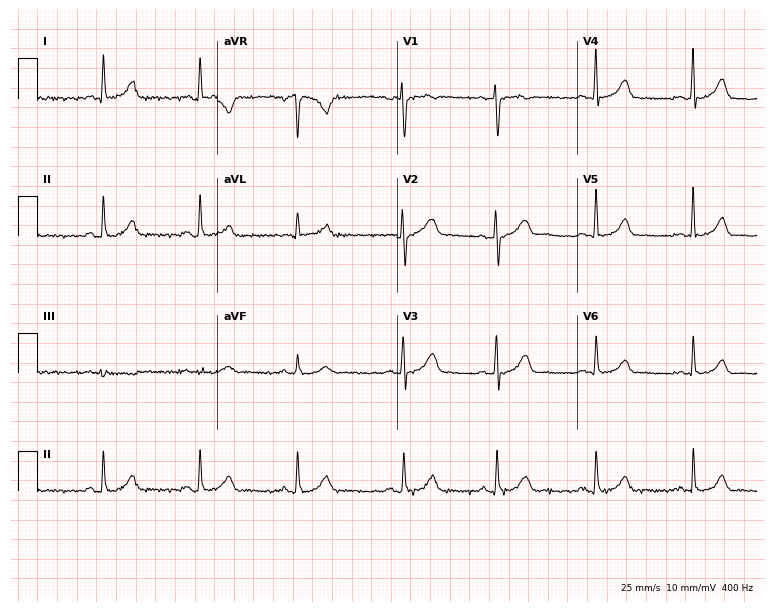
12-lead ECG (7.3-second recording at 400 Hz) from a 40-year-old woman. Labelled as a normal ECG.